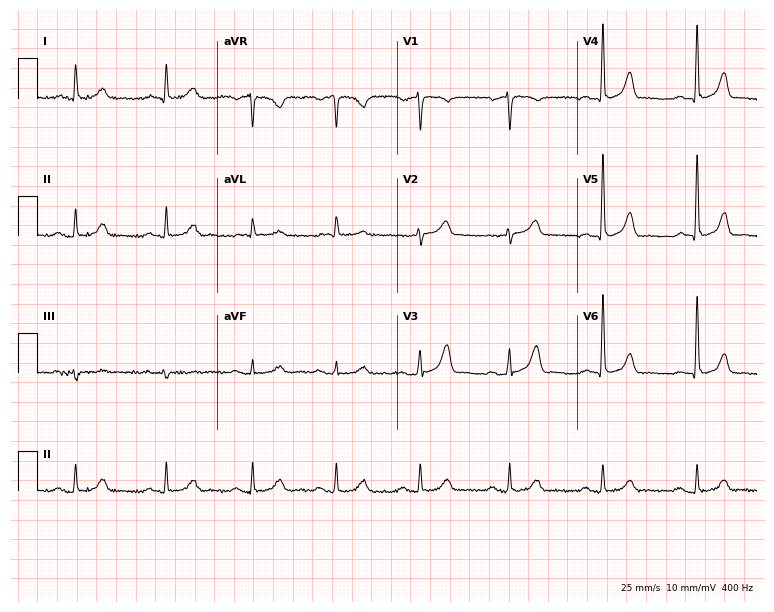
Standard 12-lead ECG recorded from a female patient, 79 years old. None of these six findings is recorded: first-degree AV block, right bundle branch block (RBBB), left bundle branch block (LBBB), sinus bradycardia, atrial fibrillation (AF), sinus tachycardia. Only these six findings were labelled.